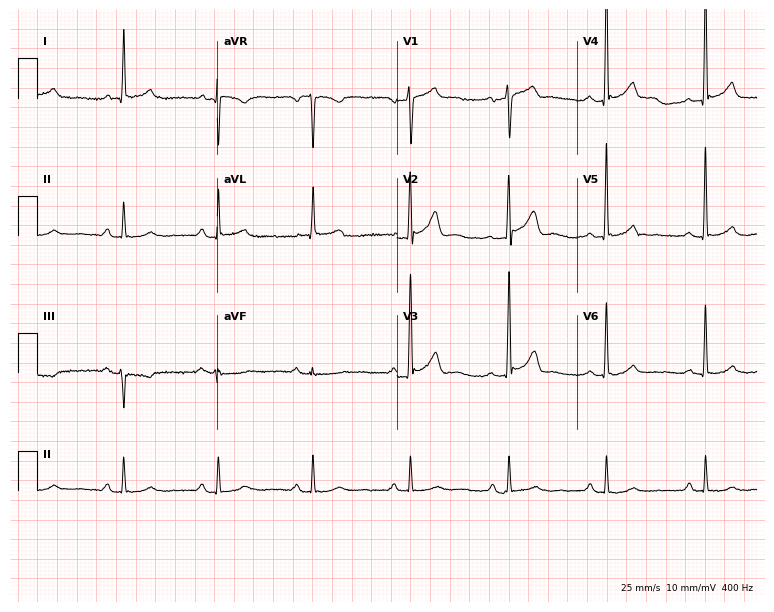
12-lead ECG from a man, 63 years old (7.3-second recording at 400 Hz). No first-degree AV block, right bundle branch block (RBBB), left bundle branch block (LBBB), sinus bradycardia, atrial fibrillation (AF) or sinus tachycardia recorded for this tracing. Only these six findings were labelled.